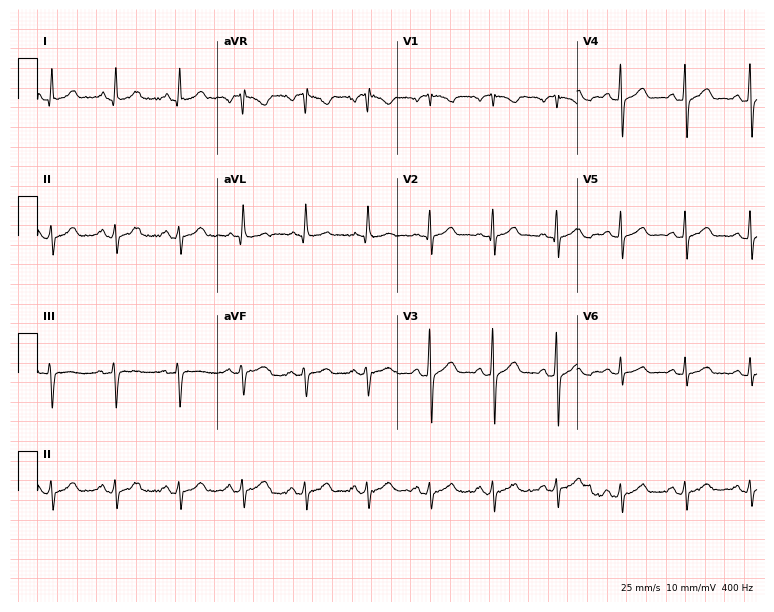
12-lead ECG from a male, 59 years old. No first-degree AV block, right bundle branch block, left bundle branch block, sinus bradycardia, atrial fibrillation or sinus tachycardia recorded for this tracing.